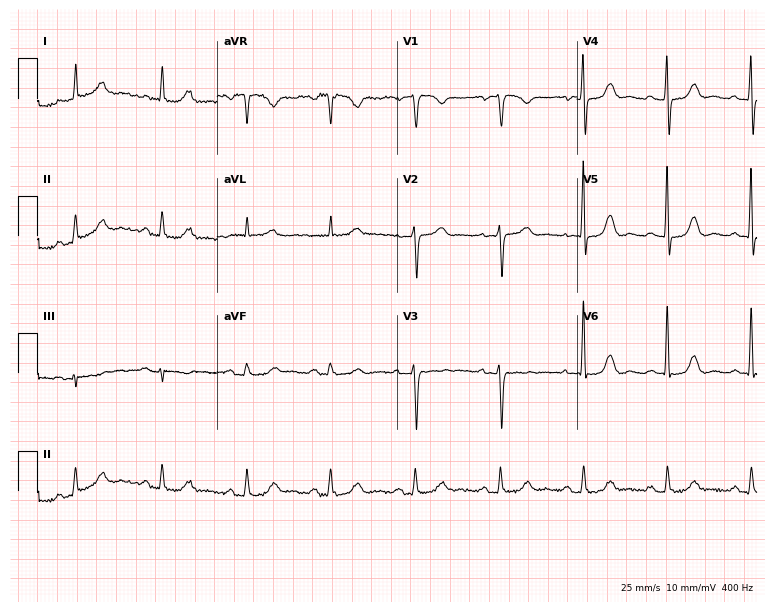
12-lead ECG from a female, 63 years old. Recorded interpretation: within normal limits.